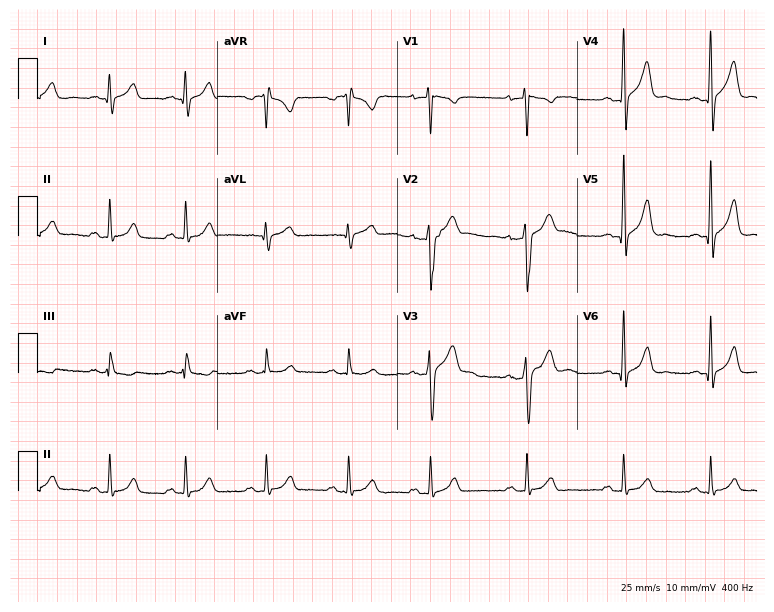
Electrocardiogram, a 21-year-old male patient. Overall reading on record: normal ECG.